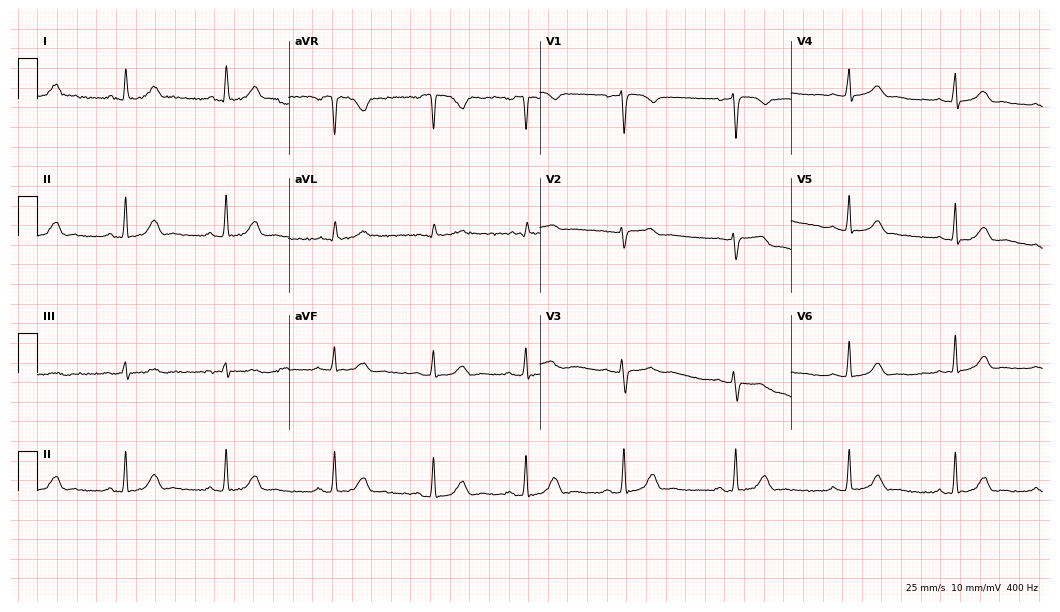
Electrocardiogram, a woman, 36 years old. Overall reading on record: normal ECG.